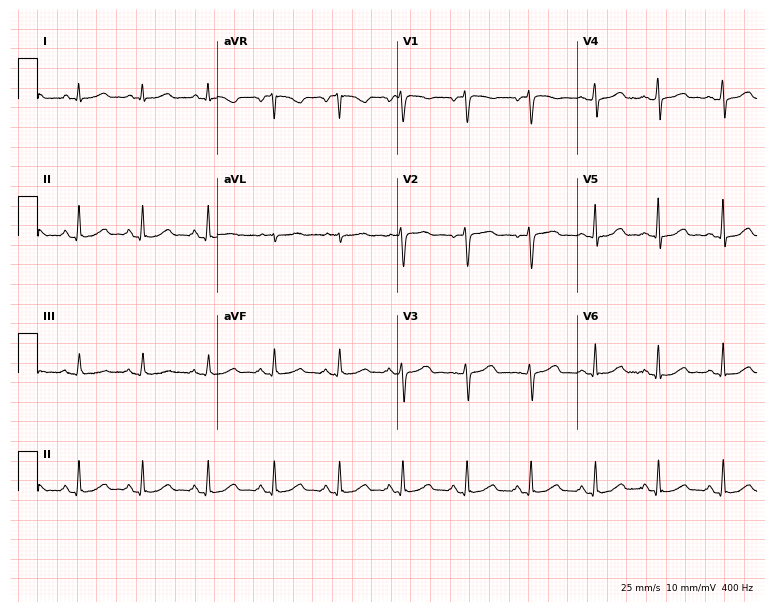
Standard 12-lead ECG recorded from a woman, 59 years old (7.3-second recording at 400 Hz). Read as a normal ECG.